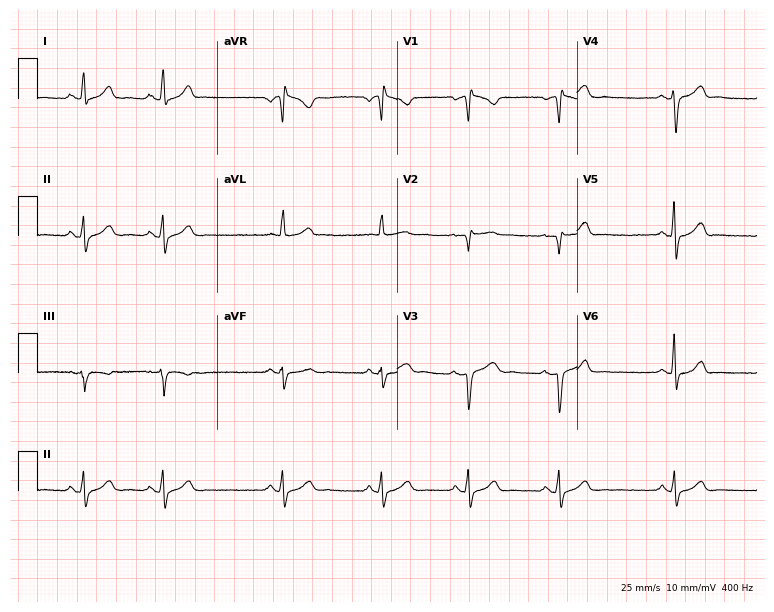
ECG — a 30-year-old woman. Screened for six findings — first-degree AV block, right bundle branch block, left bundle branch block, sinus bradycardia, atrial fibrillation, sinus tachycardia — none is recorded.